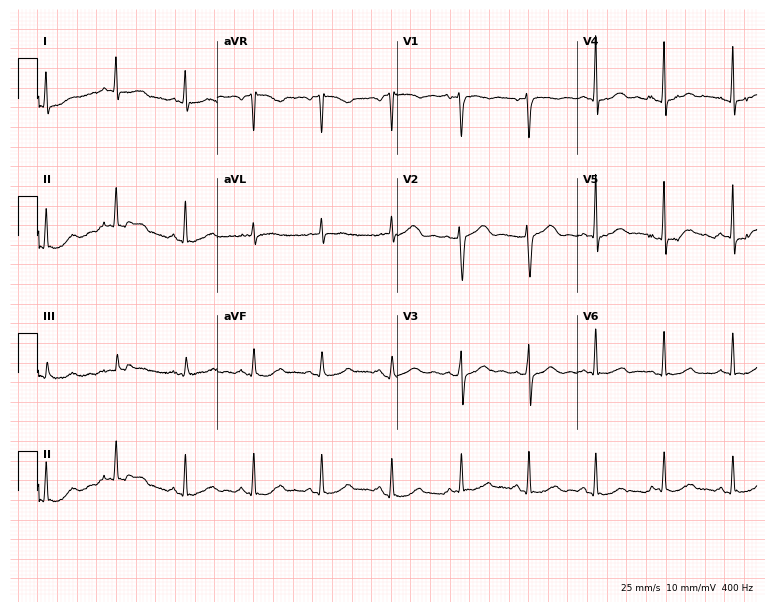
Resting 12-lead electrocardiogram (7.3-second recording at 400 Hz). Patient: a 61-year-old female. Read as a normal ECG.